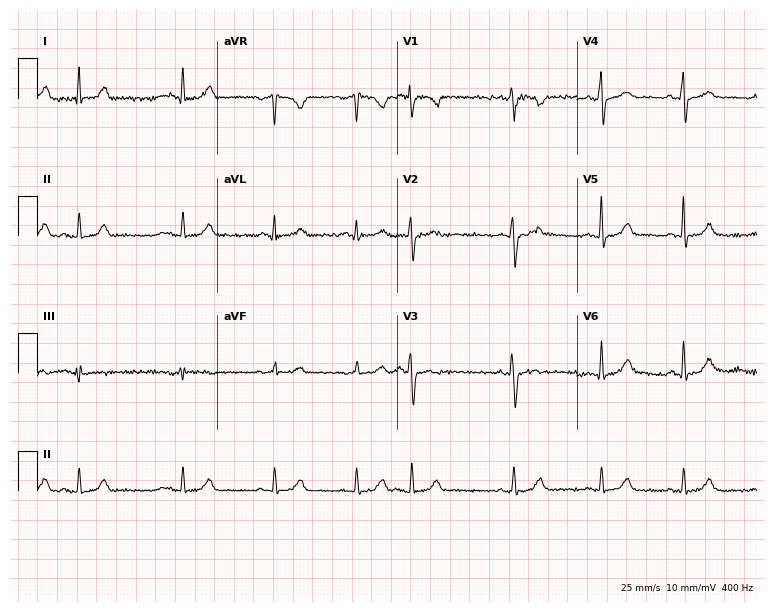
12-lead ECG from a woman, 35 years old (7.3-second recording at 400 Hz). No first-degree AV block, right bundle branch block, left bundle branch block, sinus bradycardia, atrial fibrillation or sinus tachycardia recorded for this tracing.